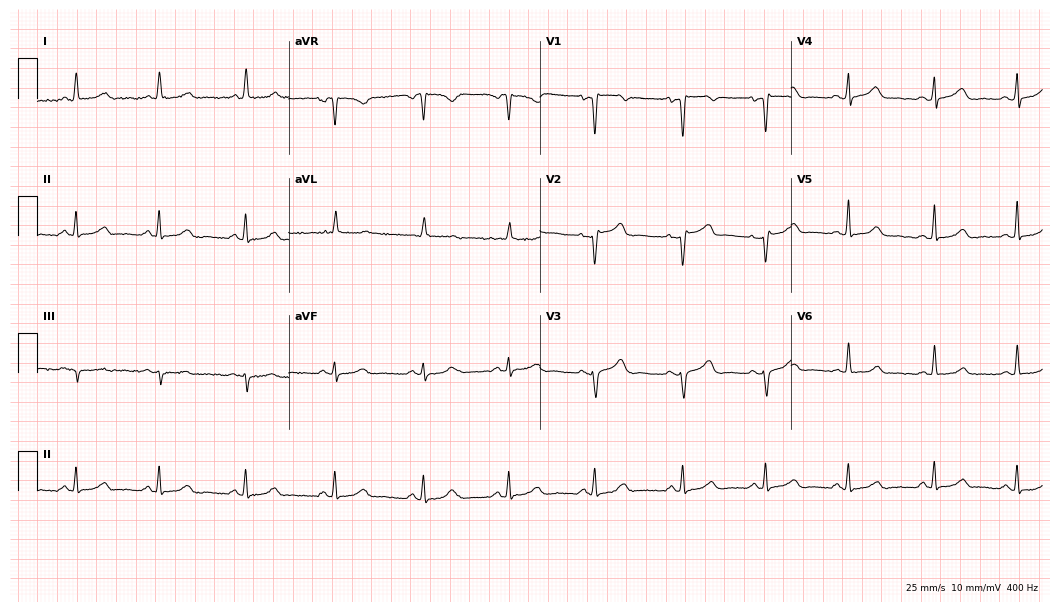
12-lead ECG (10.2-second recording at 400 Hz) from a 43-year-old female patient. Labelled as a normal ECG.